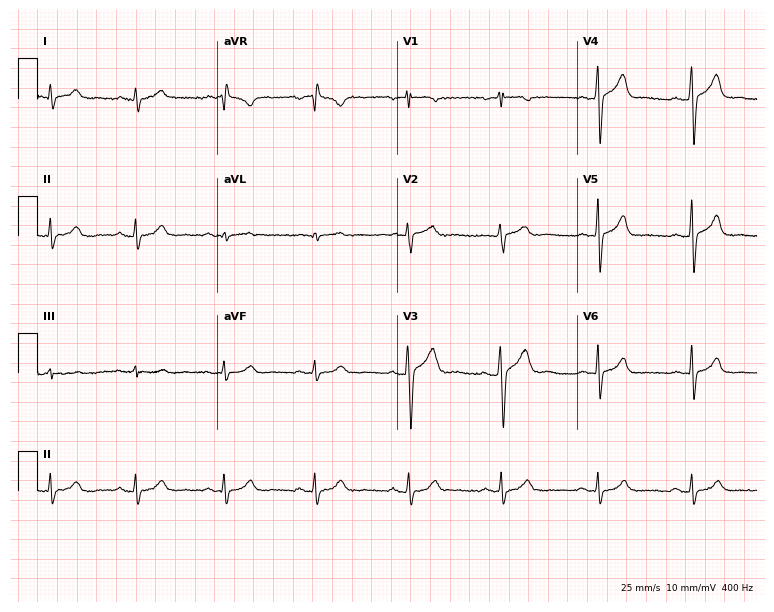
Resting 12-lead electrocardiogram (7.3-second recording at 400 Hz). Patient: a male, 42 years old. Read as a normal ECG.